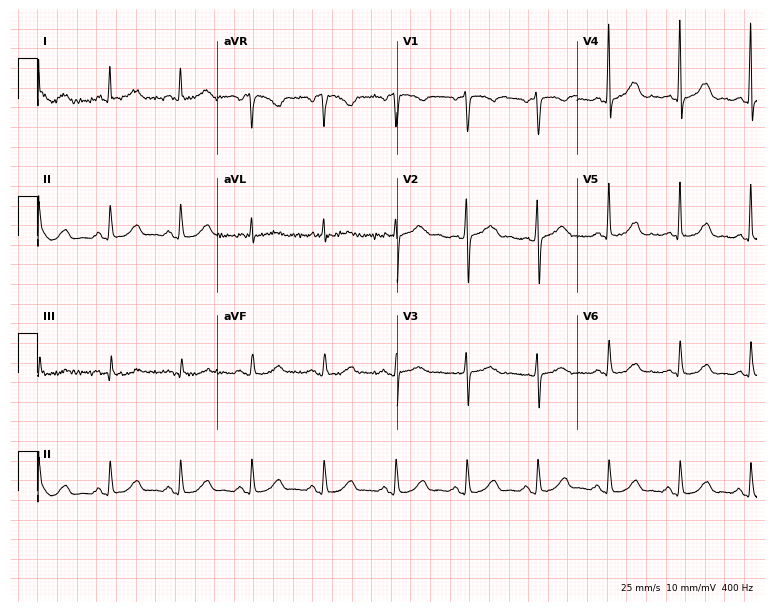
Electrocardiogram (7.3-second recording at 400 Hz), a female patient, 54 years old. Overall reading on record: normal ECG.